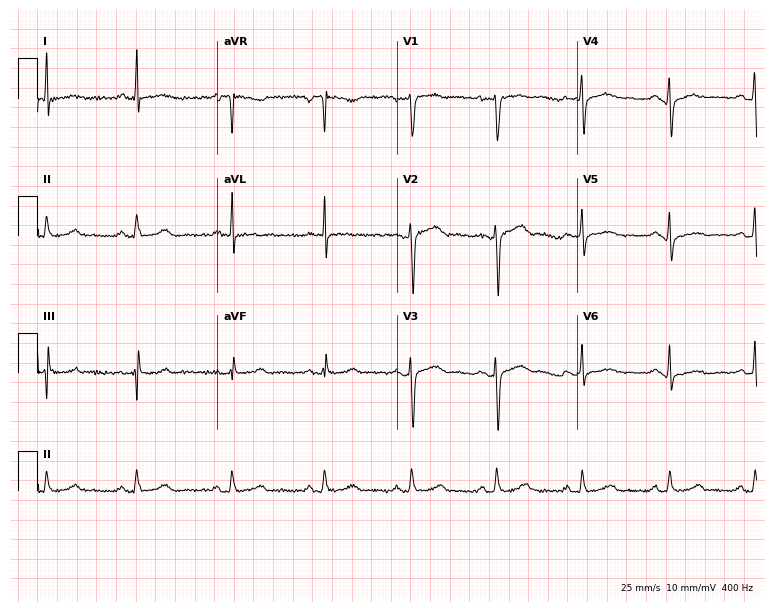
Standard 12-lead ECG recorded from a woman, 38 years old. Read as a normal ECG.